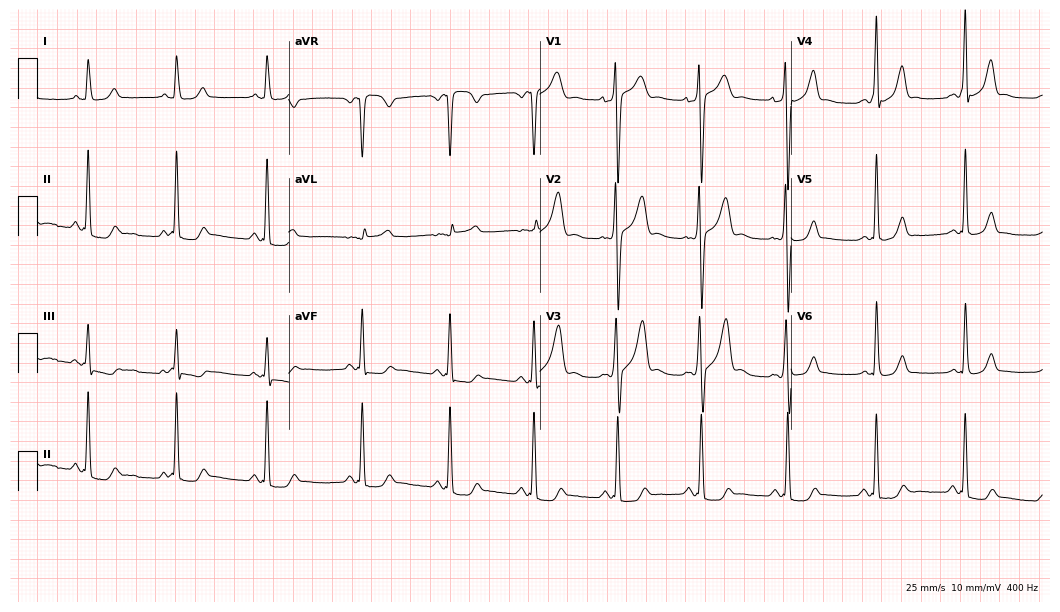
ECG (10.2-second recording at 400 Hz) — a man, 23 years old. Screened for six findings — first-degree AV block, right bundle branch block (RBBB), left bundle branch block (LBBB), sinus bradycardia, atrial fibrillation (AF), sinus tachycardia — none is recorded. Other findings, if any, are not listed.